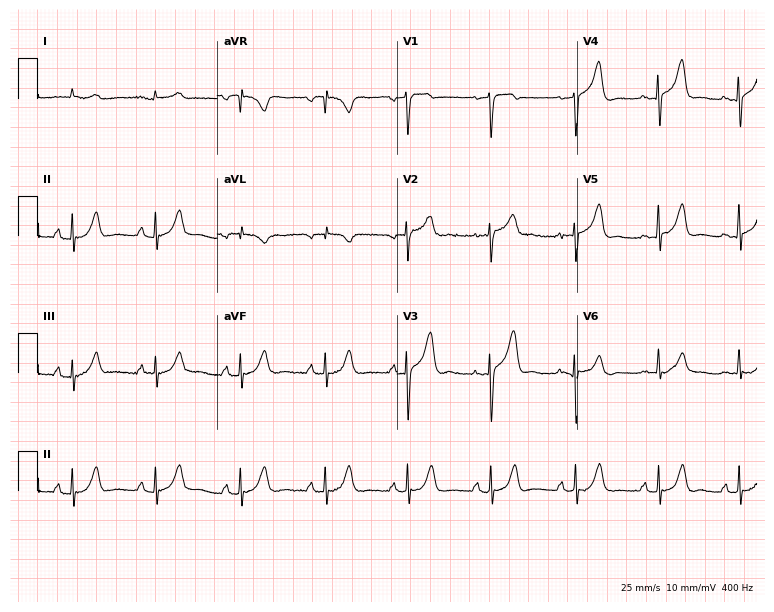
12-lead ECG from a male, 76 years old. No first-degree AV block, right bundle branch block, left bundle branch block, sinus bradycardia, atrial fibrillation or sinus tachycardia recorded for this tracing. Only these six findings were labelled.